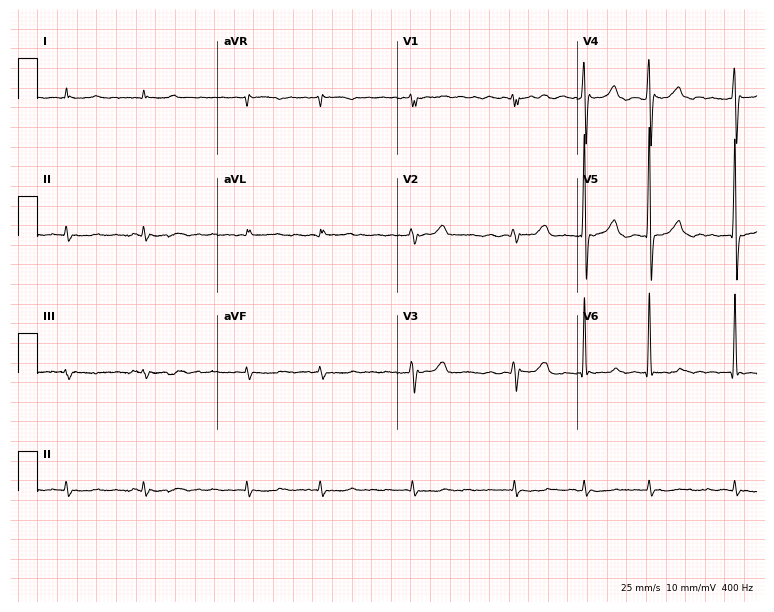
Standard 12-lead ECG recorded from an 80-year-old male (7.3-second recording at 400 Hz). The tracing shows atrial fibrillation (AF).